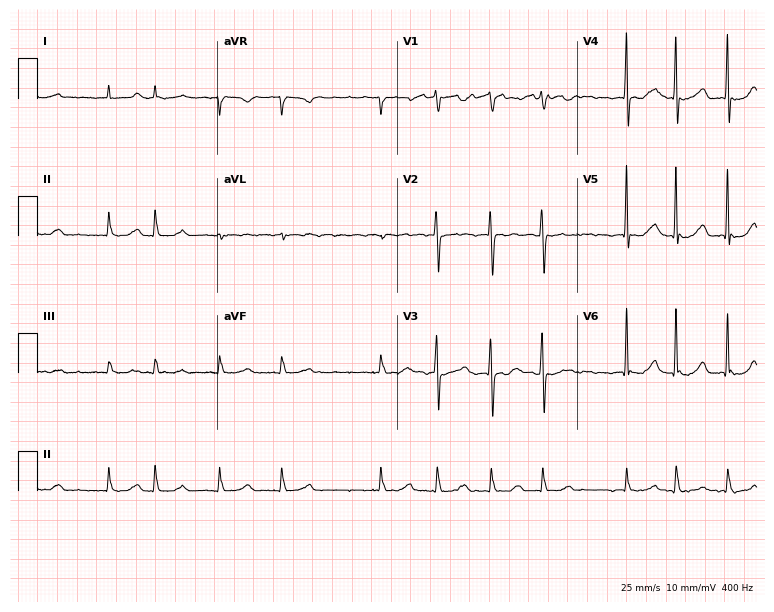
Resting 12-lead electrocardiogram (7.3-second recording at 400 Hz). Patient: a 78-year-old woman. The tracing shows atrial fibrillation.